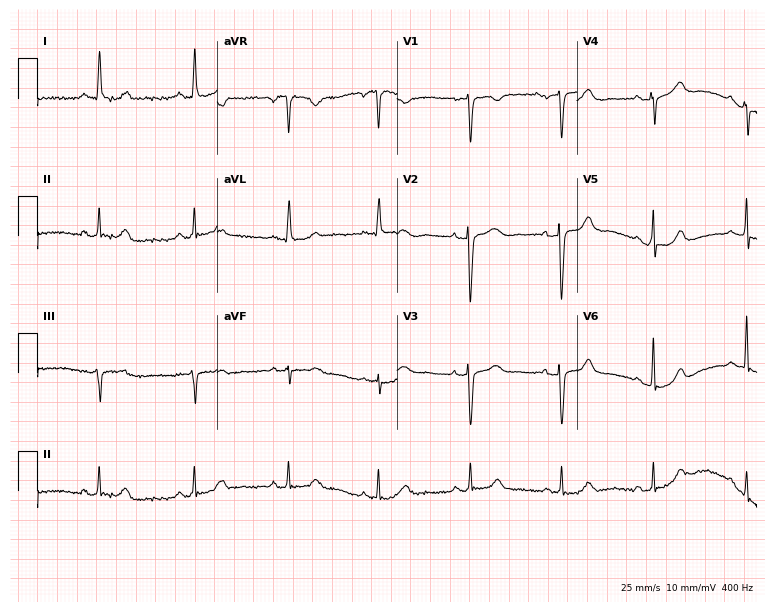
Resting 12-lead electrocardiogram. Patient: a female, 53 years old. Read as a normal ECG.